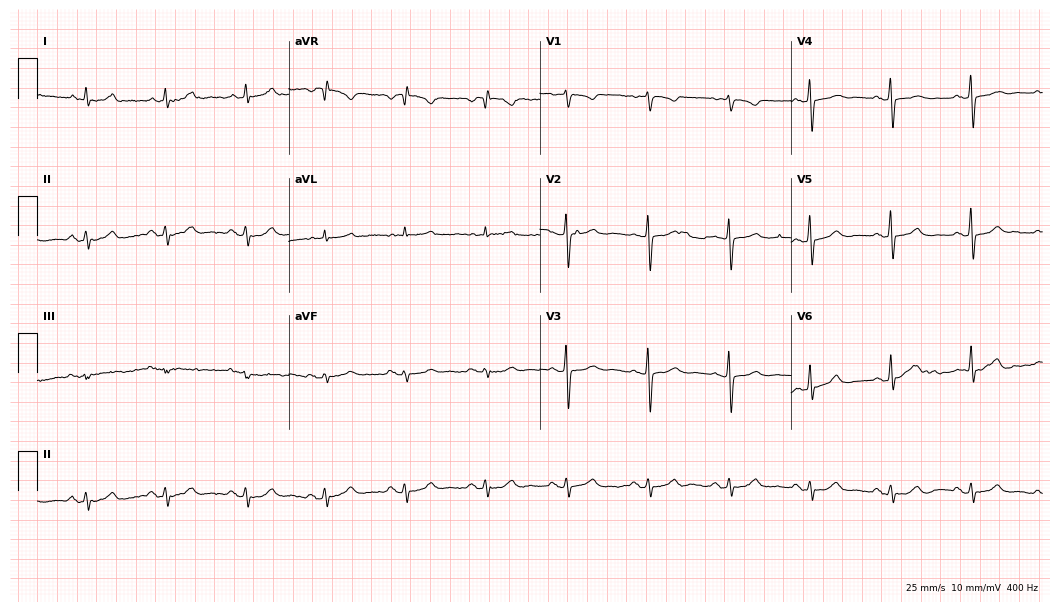
Standard 12-lead ECG recorded from an 83-year-old female patient (10.2-second recording at 400 Hz). Read as a normal ECG.